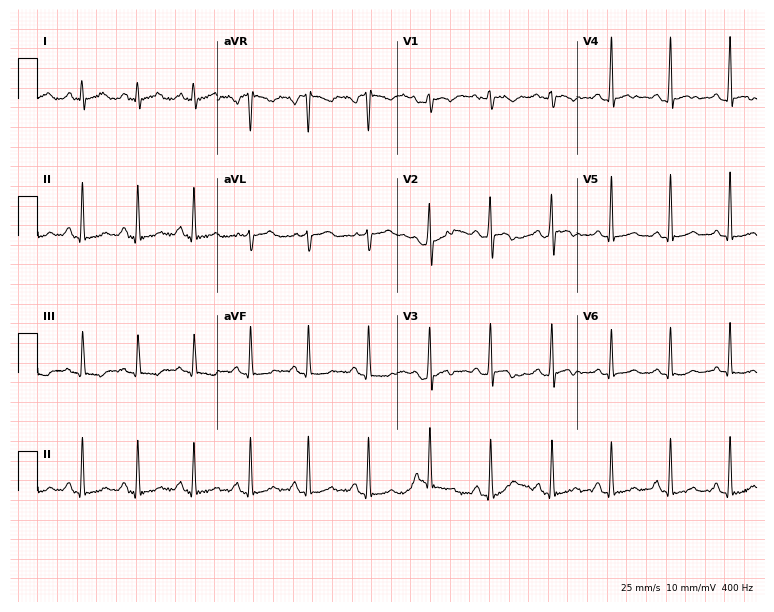
ECG (7.3-second recording at 400 Hz) — a 33-year-old male patient. Findings include sinus tachycardia (a sinus rate of 100 beats per minute or more).